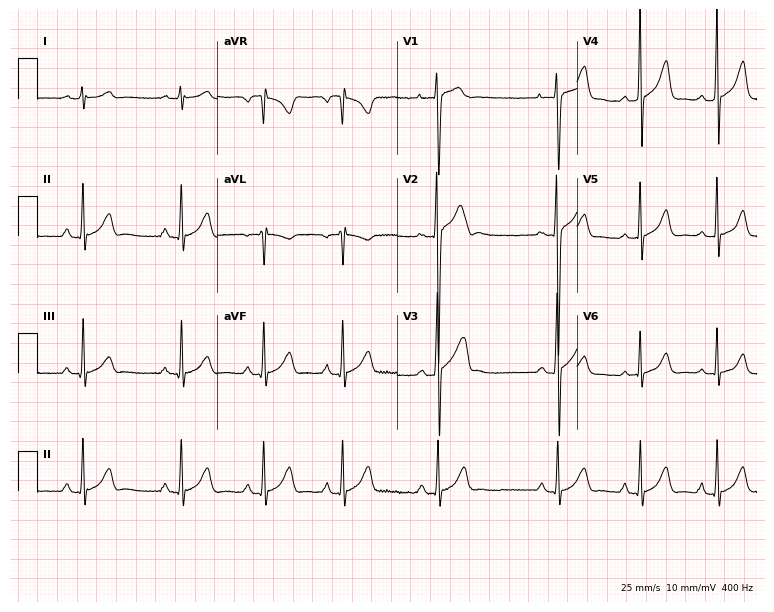
Resting 12-lead electrocardiogram (7.3-second recording at 400 Hz). Patient: a man, 19 years old. None of these six findings is recorded: first-degree AV block, right bundle branch block (RBBB), left bundle branch block (LBBB), sinus bradycardia, atrial fibrillation (AF), sinus tachycardia.